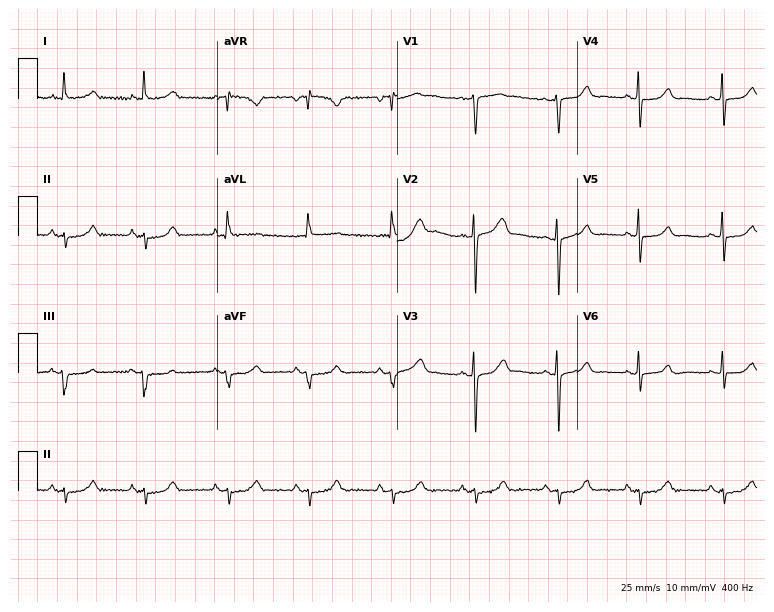
12-lead ECG from a female, 78 years old (7.3-second recording at 400 Hz). No first-degree AV block, right bundle branch block (RBBB), left bundle branch block (LBBB), sinus bradycardia, atrial fibrillation (AF) or sinus tachycardia recorded for this tracing. Findings outside these six are not listed.